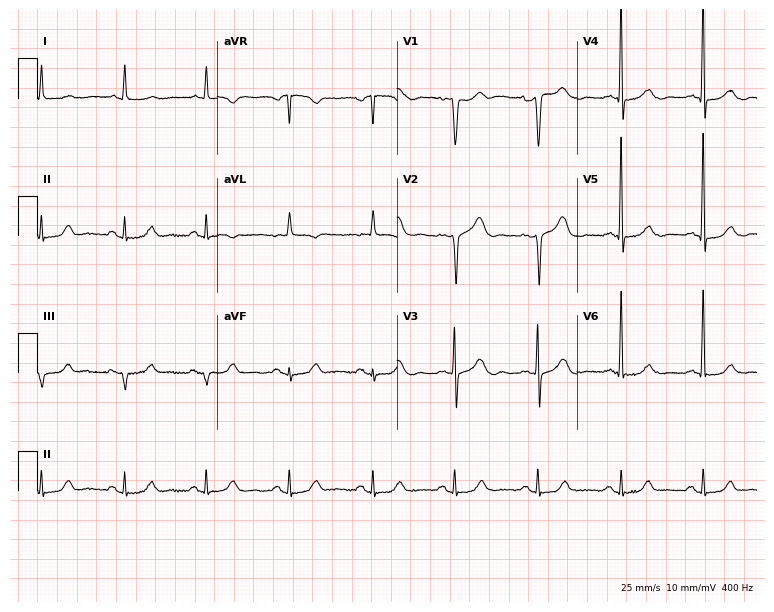
Resting 12-lead electrocardiogram. Patient: a 71-year-old female. Read as a normal ECG.